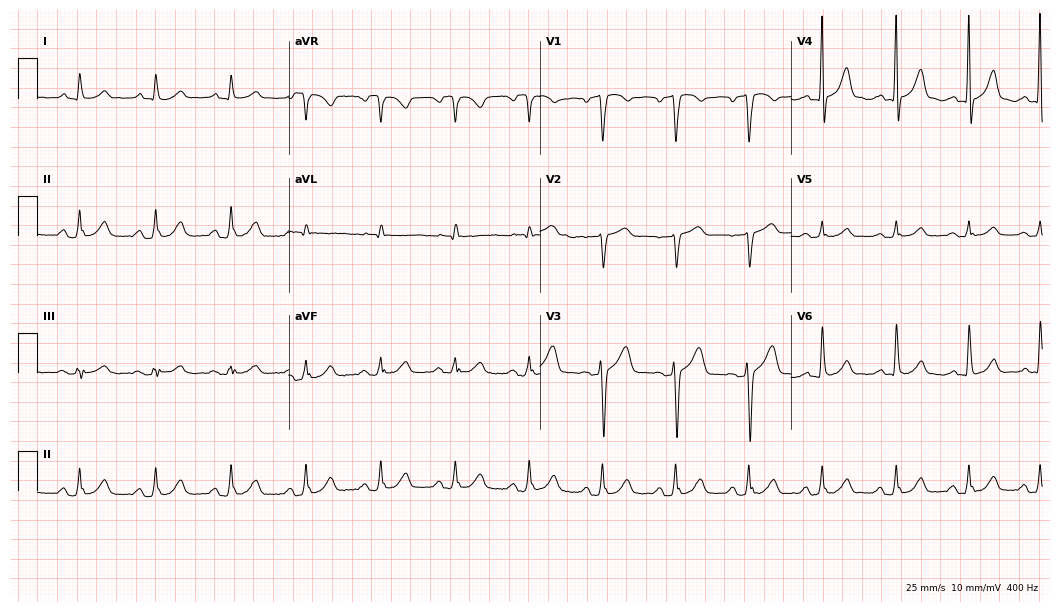
ECG — a 54-year-old man. Screened for six findings — first-degree AV block, right bundle branch block, left bundle branch block, sinus bradycardia, atrial fibrillation, sinus tachycardia — none is recorded.